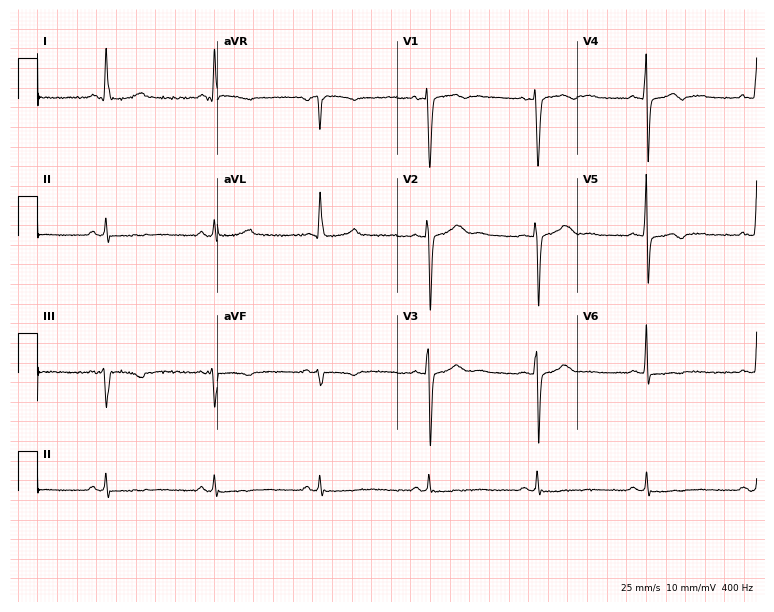
12-lead ECG from a 47-year-old female. No first-degree AV block, right bundle branch block, left bundle branch block, sinus bradycardia, atrial fibrillation or sinus tachycardia recorded for this tracing.